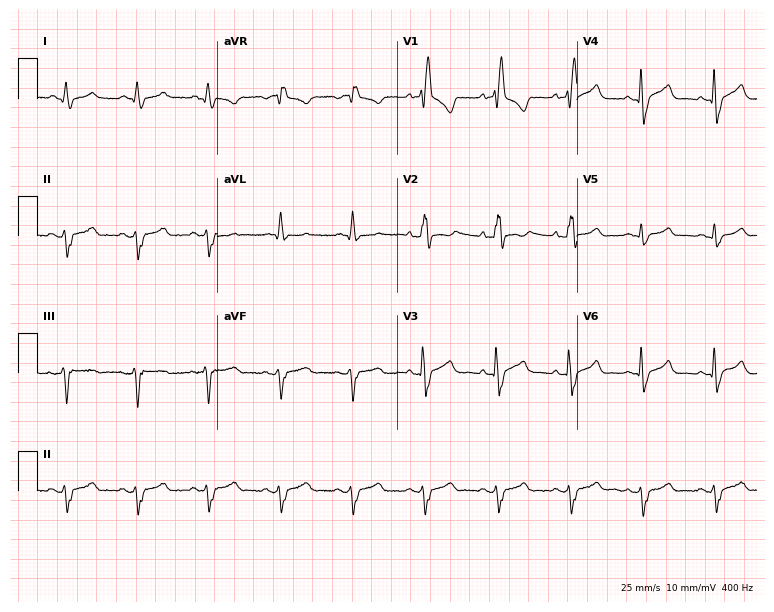
12-lead ECG from a male, 47 years old (7.3-second recording at 400 Hz). Shows right bundle branch block.